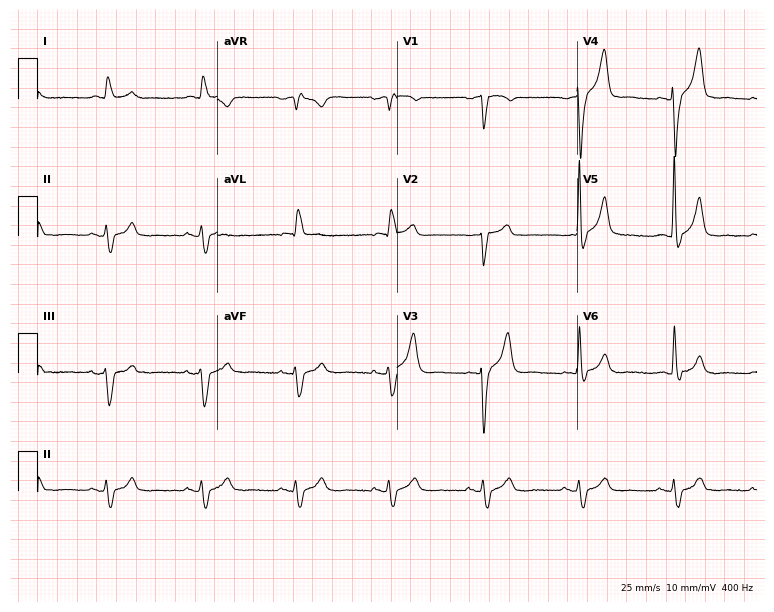
Standard 12-lead ECG recorded from a male patient, 83 years old. None of these six findings is recorded: first-degree AV block, right bundle branch block, left bundle branch block, sinus bradycardia, atrial fibrillation, sinus tachycardia. Other findings, if any, are not listed.